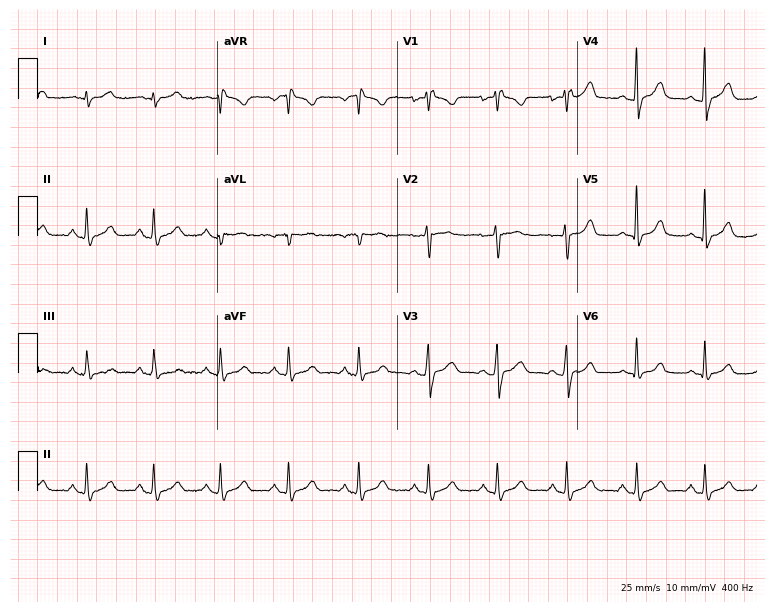
Resting 12-lead electrocardiogram. Patient: a woman, 27 years old. None of these six findings is recorded: first-degree AV block, right bundle branch block, left bundle branch block, sinus bradycardia, atrial fibrillation, sinus tachycardia.